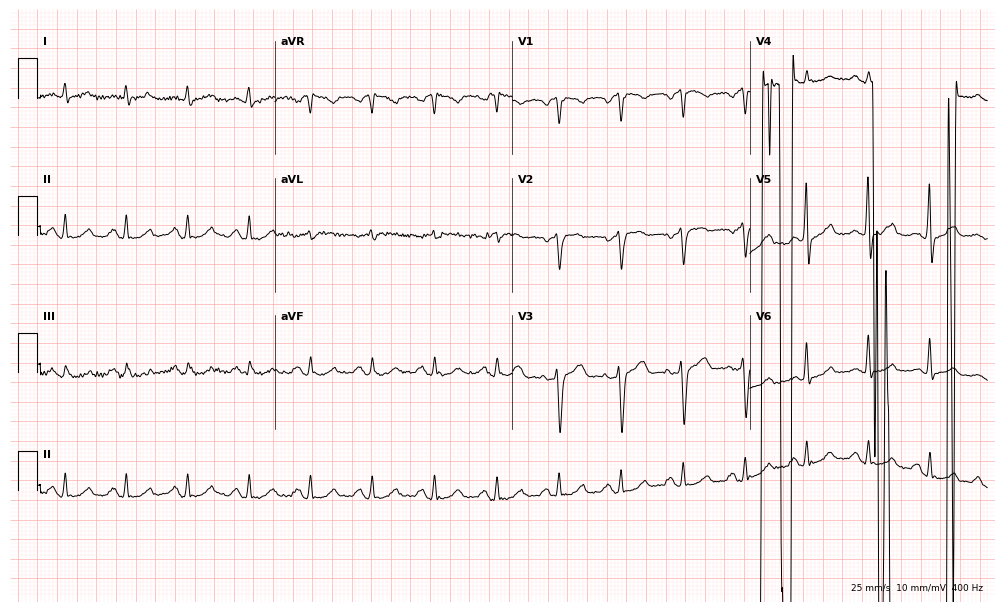
Resting 12-lead electrocardiogram (9.7-second recording at 400 Hz). Patient: a 64-year-old male. None of these six findings is recorded: first-degree AV block, right bundle branch block, left bundle branch block, sinus bradycardia, atrial fibrillation, sinus tachycardia. Findings outside these six are not listed.